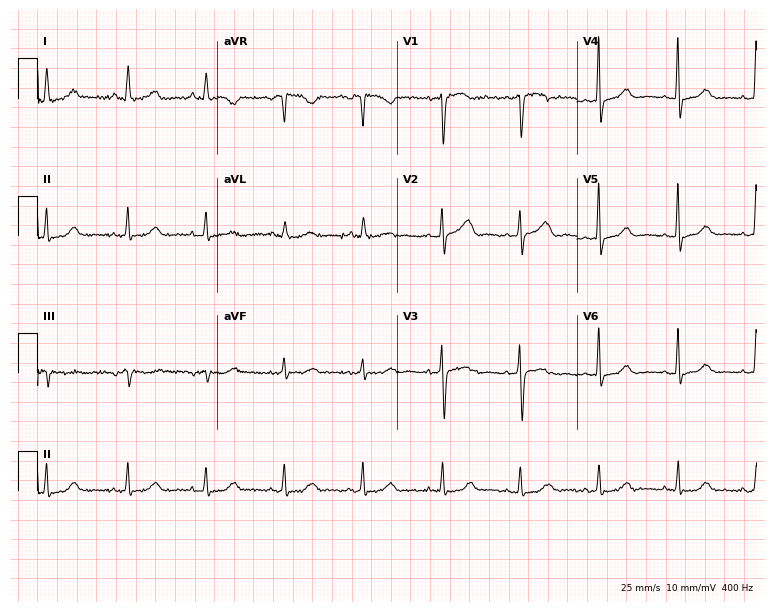
12-lead ECG from a female patient, 61 years old. Labelled as a normal ECG.